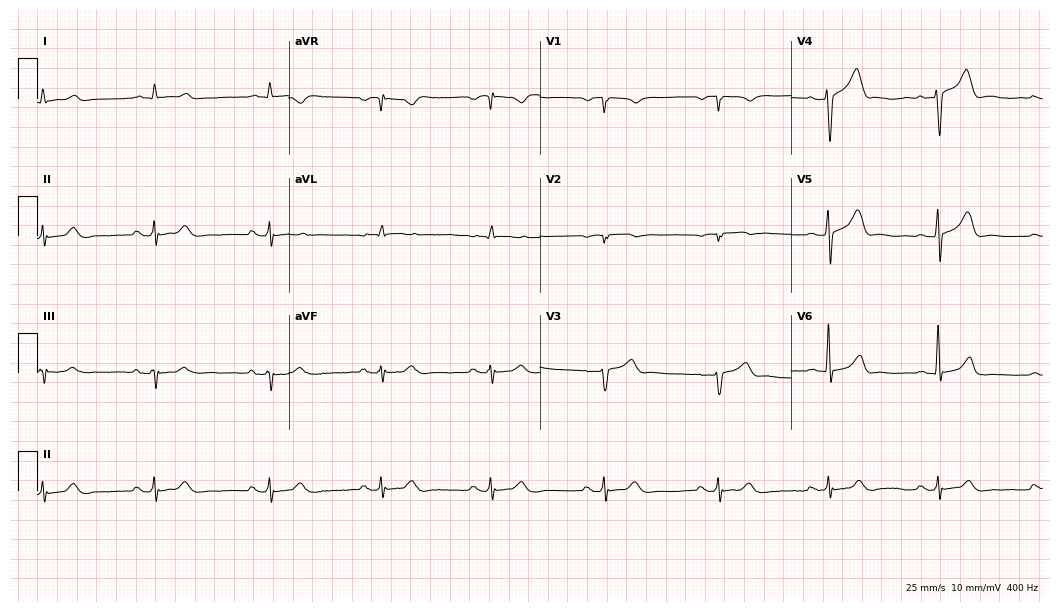
Electrocardiogram, a 67-year-old male patient. Of the six screened findings (first-degree AV block, right bundle branch block, left bundle branch block, sinus bradycardia, atrial fibrillation, sinus tachycardia), none is recorded. Other findings, if any, are not listed.